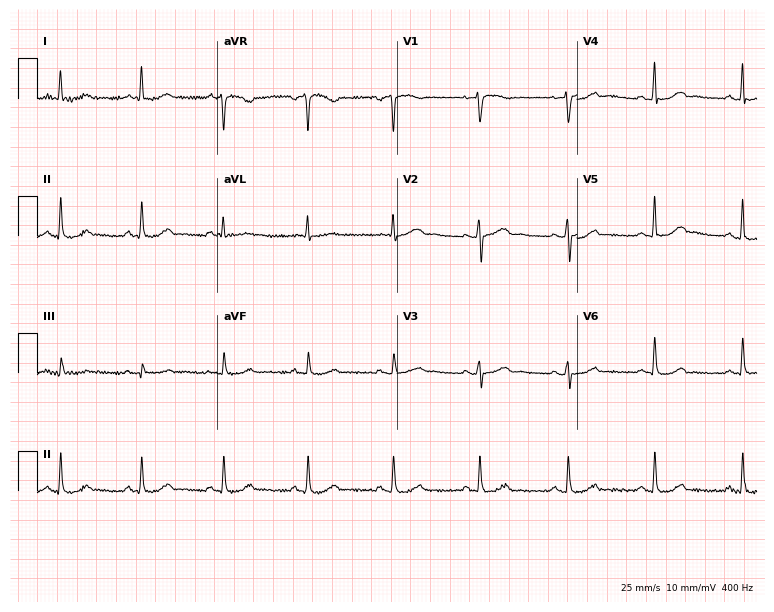
12-lead ECG from a 66-year-old woman. Labelled as a normal ECG.